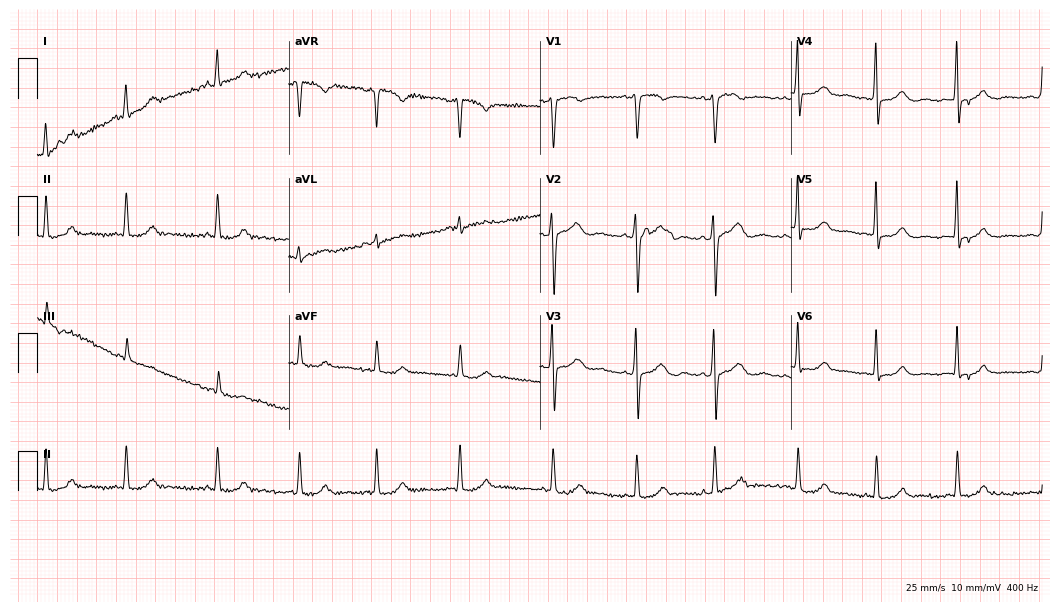
12-lead ECG from a female, 28 years old. No first-degree AV block, right bundle branch block (RBBB), left bundle branch block (LBBB), sinus bradycardia, atrial fibrillation (AF) or sinus tachycardia recorded for this tracing. Findings outside these six are not listed.